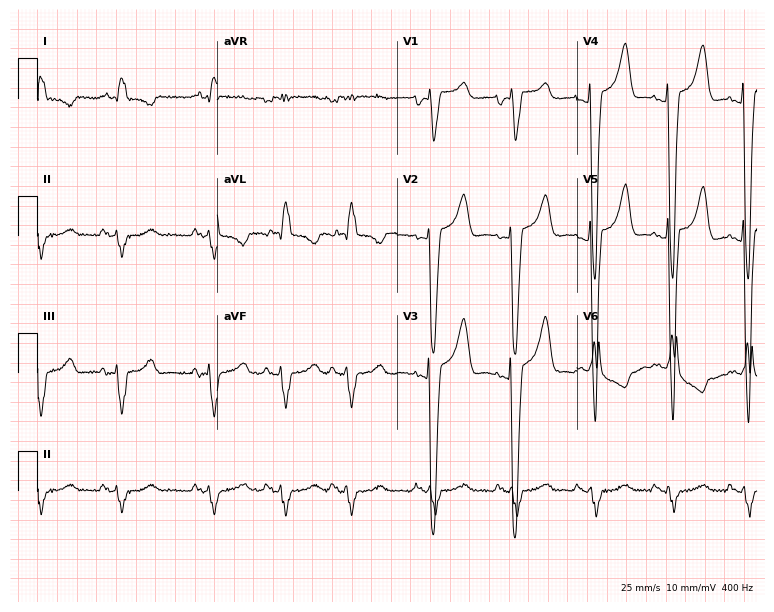
12-lead ECG from a 71-year-old female. Findings include left bundle branch block.